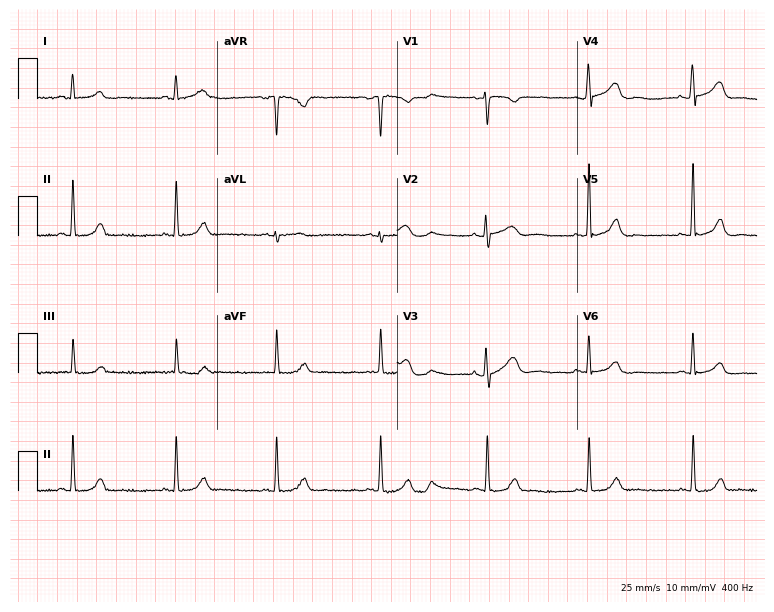
ECG — a woman, 51 years old. Screened for six findings — first-degree AV block, right bundle branch block (RBBB), left bundle branch block (LBBB), sinus bradycardia, atrial fibrillation (AF), sinus tachycardia — none is recorded. Findings outside these six are not listed.